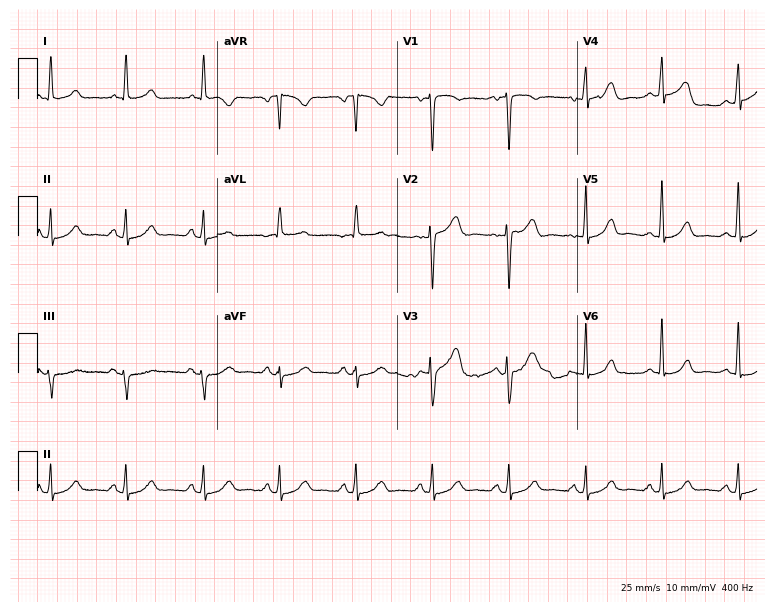
12-lead ECG from a 54-year-old female. Recorded interpretation: within normal limits.